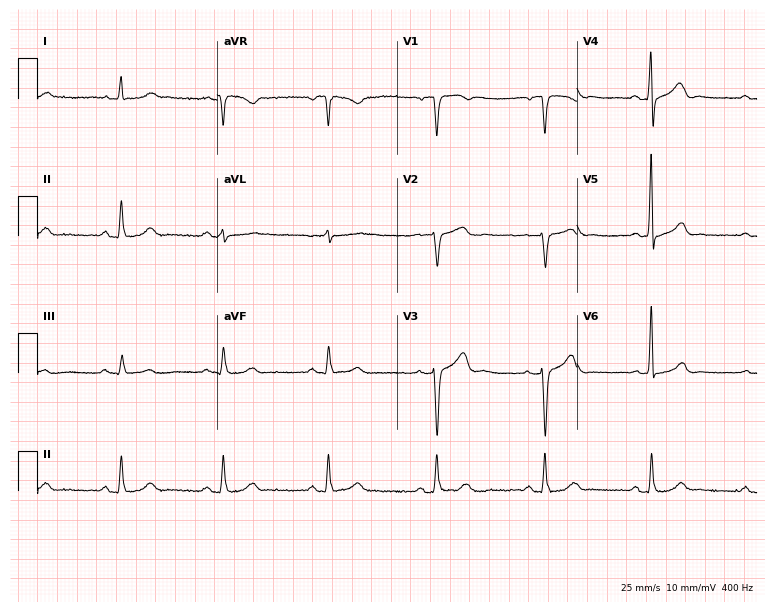
Resting 12-lead electrocardiogram. Patient: a male, 66 years old. None of these six findings is recorded: first-degree AV block, right bundle branch block, left bundle branch block, sinus bradycardia, atrial fibrillation, sinus tachycardia.